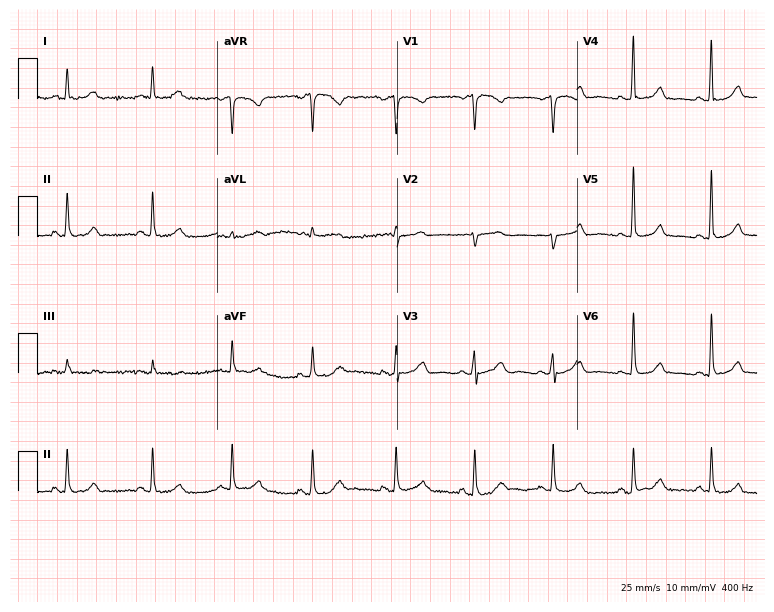
Standard 12-lead ECG recorded from a female, 50 years old. Read as a normal ECG.